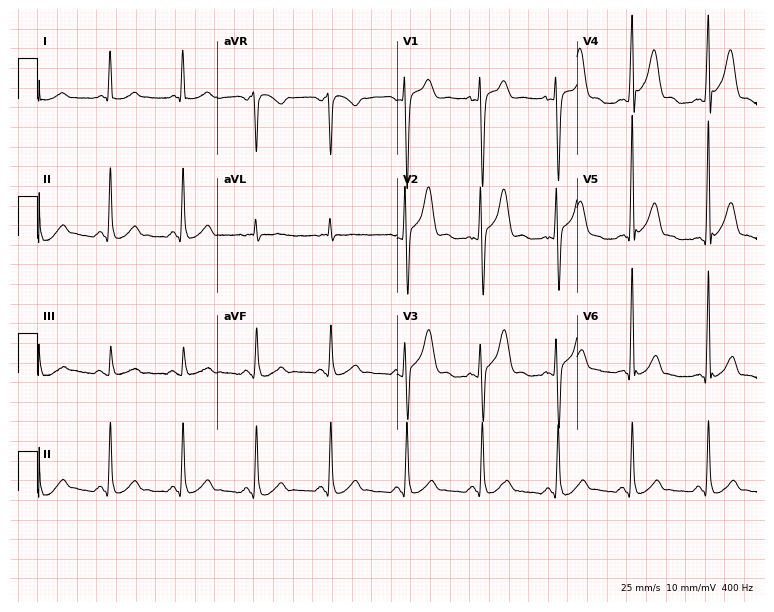
Electrocardiogram, a male patient, 47 years old. Of the six screened findings (first-degree AV block, right bundle branch block, left bundle branch block, sinus bradycardia, atrial fibrillation, sinus tachycardia), none is recorded.